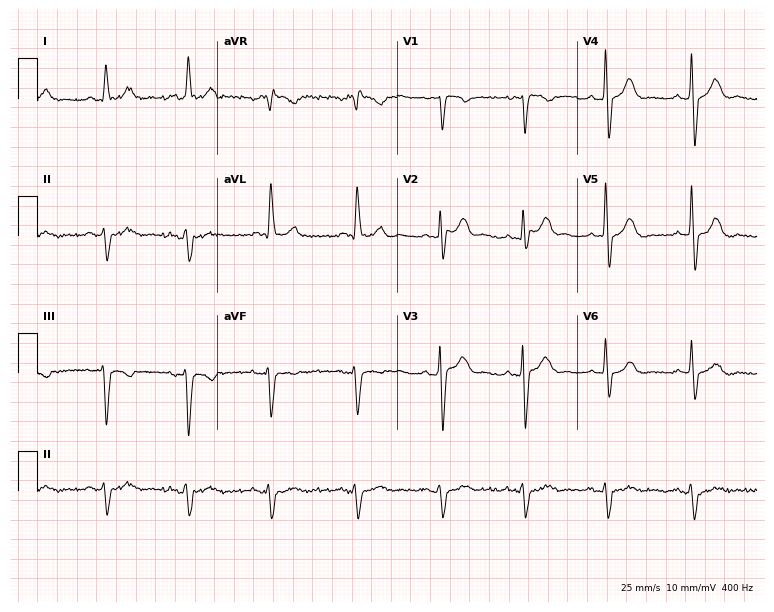
Standard 12-lead ECG recorded from a man, 84 years old. None of these six findings is recorded: first-degree AV block, right bundle branch block (RBBB), left bundle branch block (LBBB), sinus bradycardia, atrial fibrillation (AF), sinus tachycardia. Only these six findings were labelled.